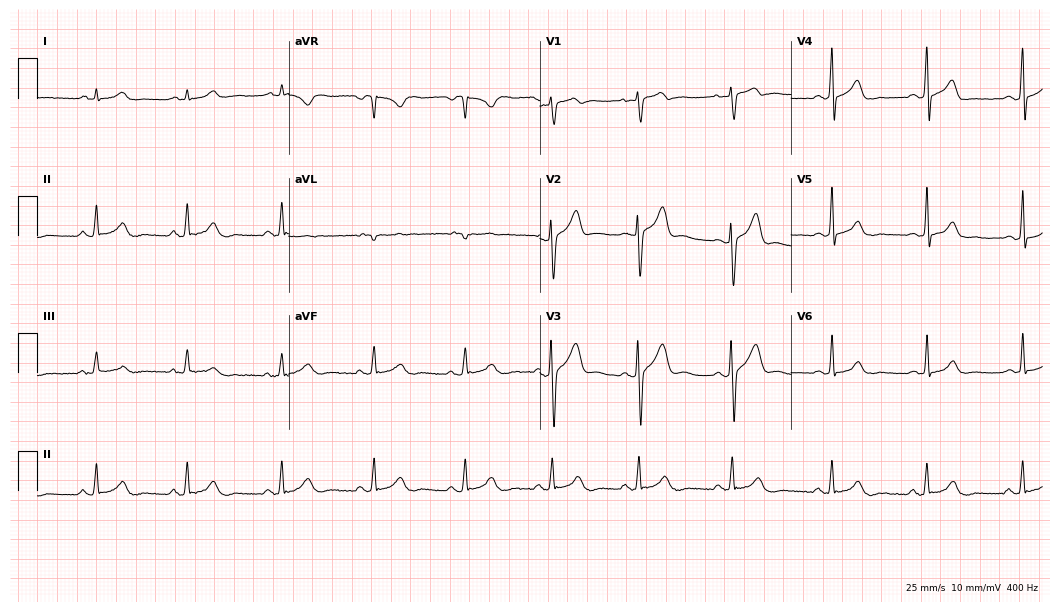
Standard 12-lead ECG recorded from a 38-year-old male. Read as a normal ECG.